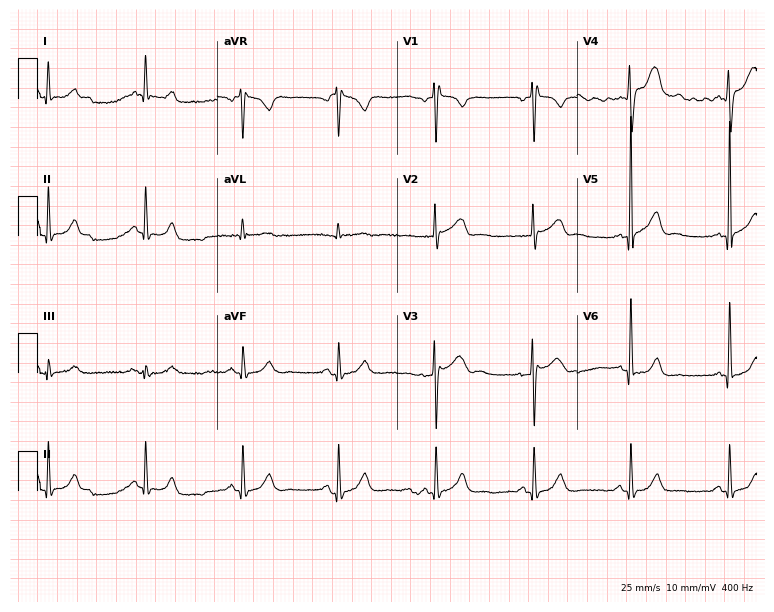
ECG (7.3-second recording at 400 Hz) — a 63-year-old male patient. Labelled as a normal ECG.